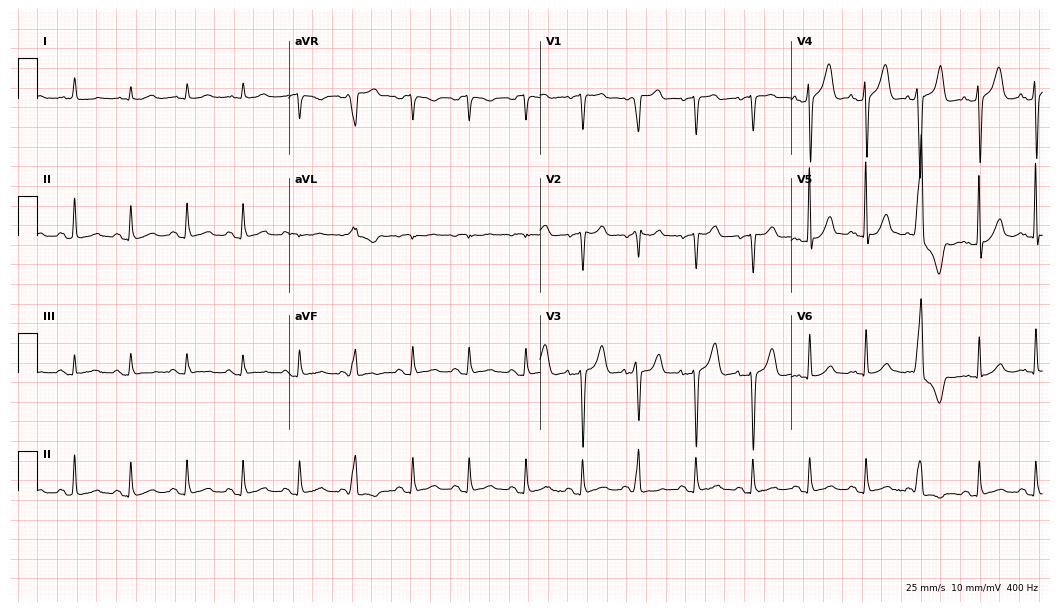
Standard 12-lead ECG recorded from a 76-year-old female (10.2-second recording at 400 Hz). The tracing shows sinus tachycardia (a sinus rate of 100 beats per minute or more).